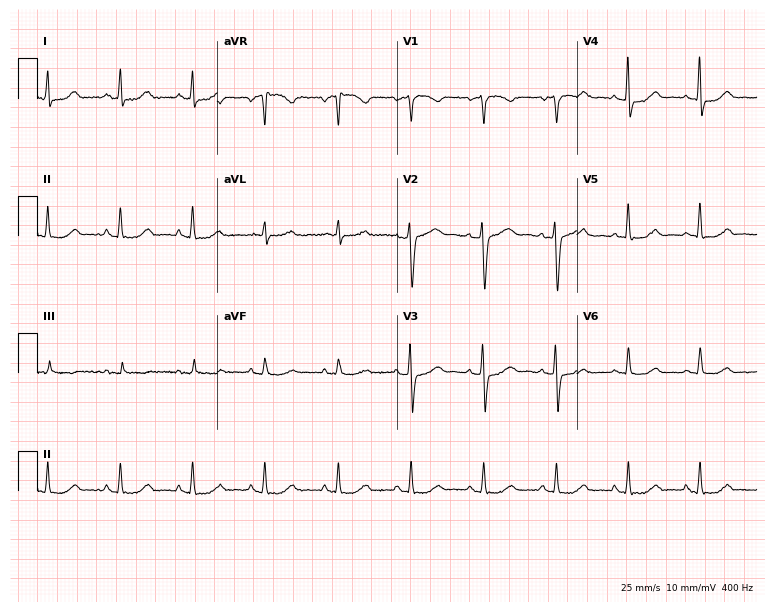
Standard 12-lead ECG recorded from a 53-year-old female (7.3-second recording at 400 Hz). Read as a normal ECG.